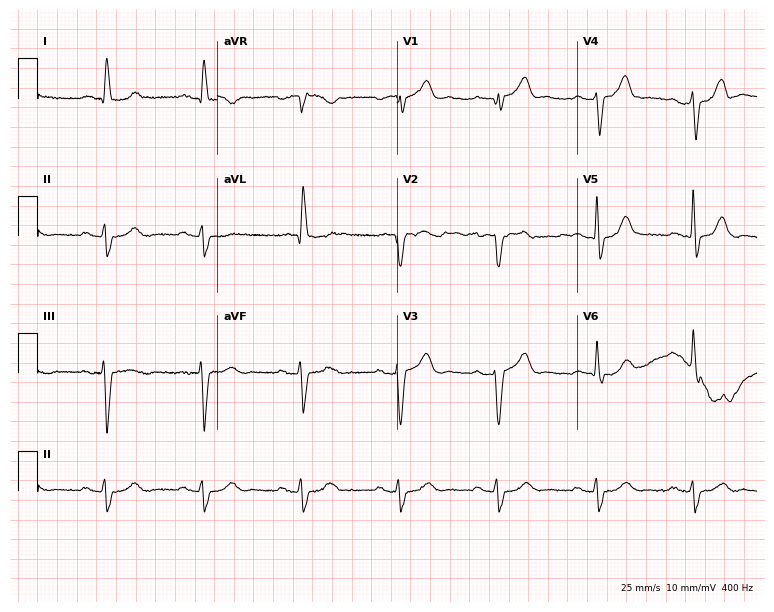
Resting 12-lead electrocardiogram (7.3-second recording at 400 Hz). Patient: a 74-year-old male. None of these six findings is recorded: first-degree AV block, right bundle branch block, left bundle branch block, sinus bradycardia, atrial fibrillation, sinus tachycardia.